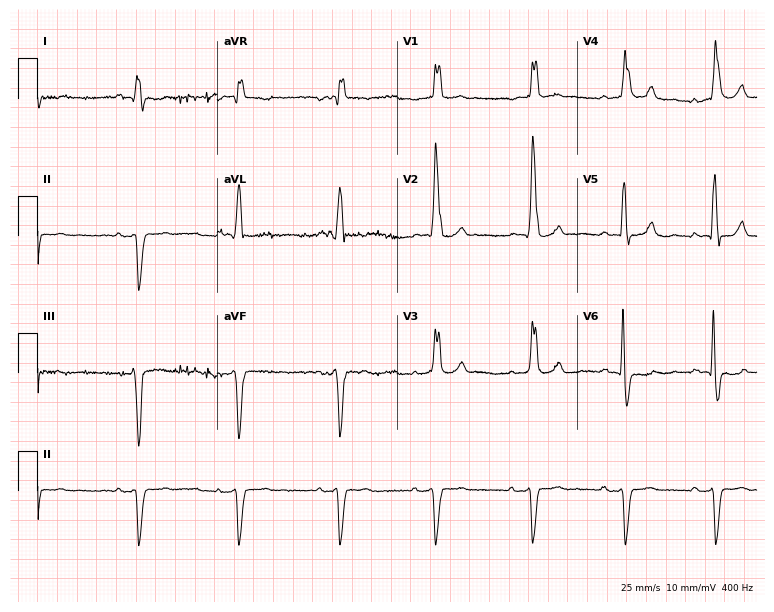
Electrocardiogram (7.3-second recording at 400 Hz), a male, 68 years old. Interpretation includes right bundle branch block (RBBB), left bundle branch block (LBBB).